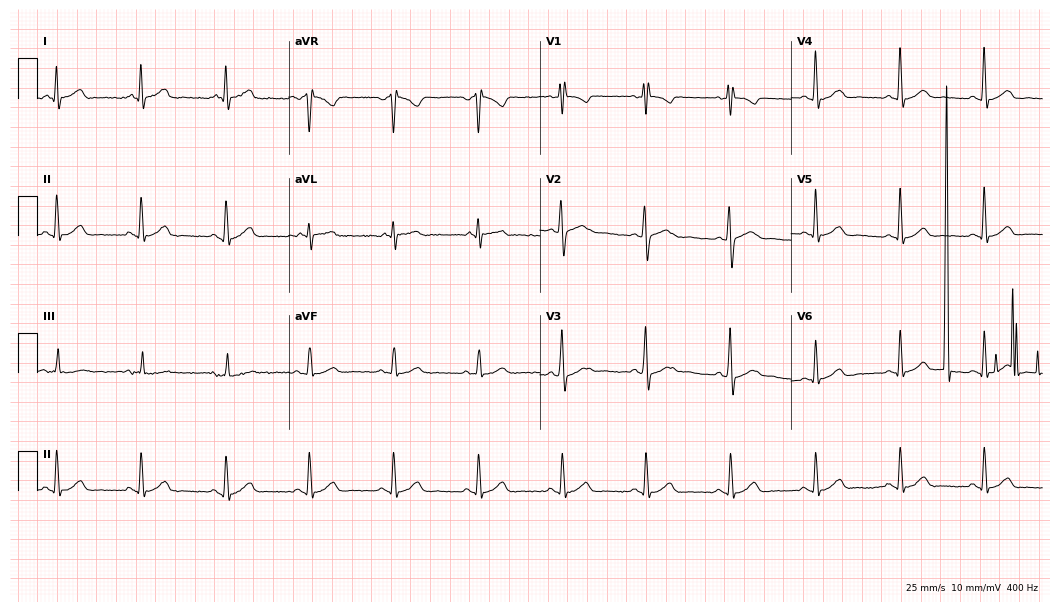
Standard 12-lead ECG recorded from a 65-year-old male patient. None of these six findings is recorded: first-degree AV block, right bundle branch block (RBBB), left bundle branch block (LBBB), sinus bradycardia, atrial fibrillation (AF), sinus tachycardia. Findings outside these six are not listed.